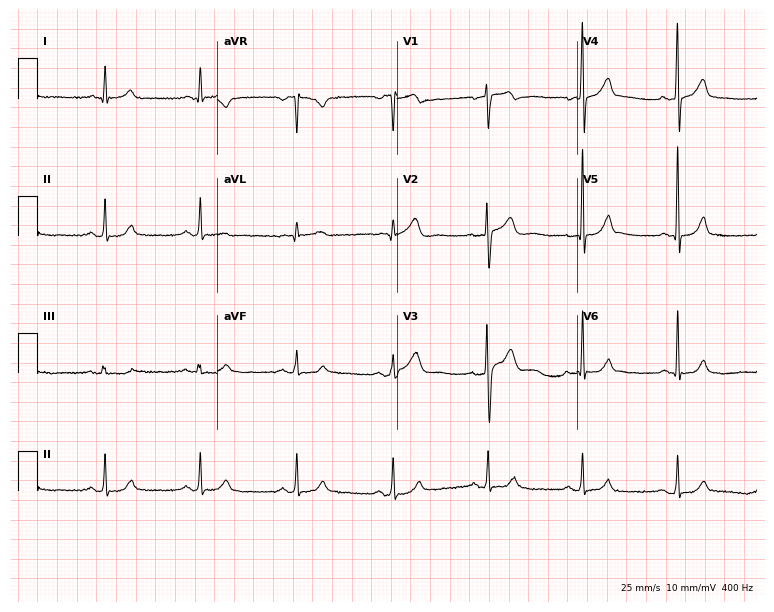
12-lead ECG from a 58-year-old male (7.3-second recording at 400 Hz). Recorded interpretation: within normal limits.